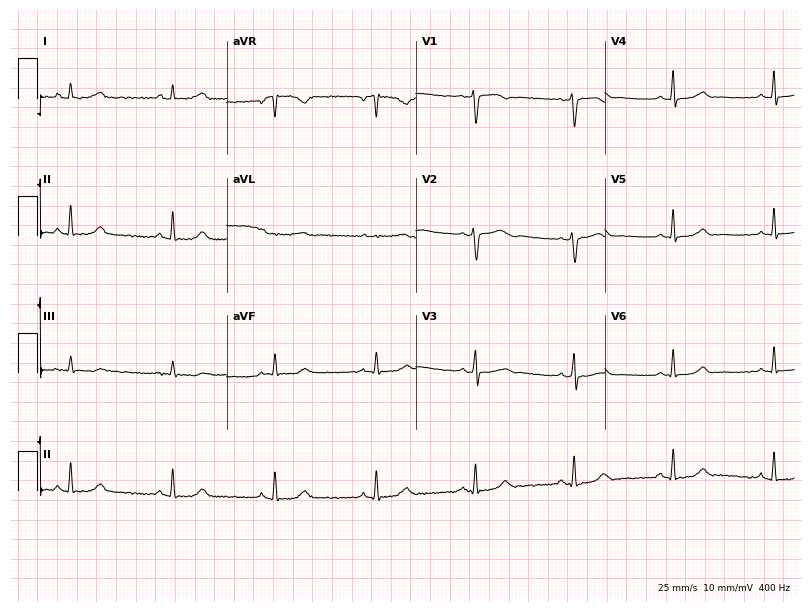
ECG (7.7-second recording at 400 Hz) — a 49-year-old female. Screened for six findings — first-degree AV block, right bundle branch block, left bundle branch block, sinus bradycardia, atrial fibrillation, sinus tachycardia — none is recorded.